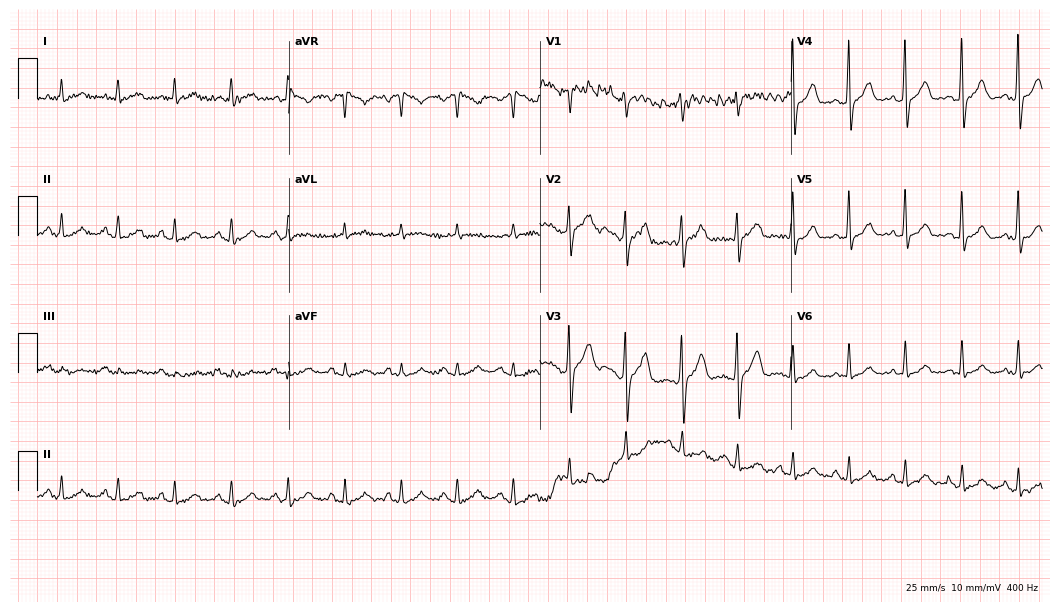
Standard 12-lead ECG recorded from a female, 63 years old (10.2-second recording at 400 Hz). The tracing shows sinus tachycardia (a sinus rate of 100 beats per minute or more).